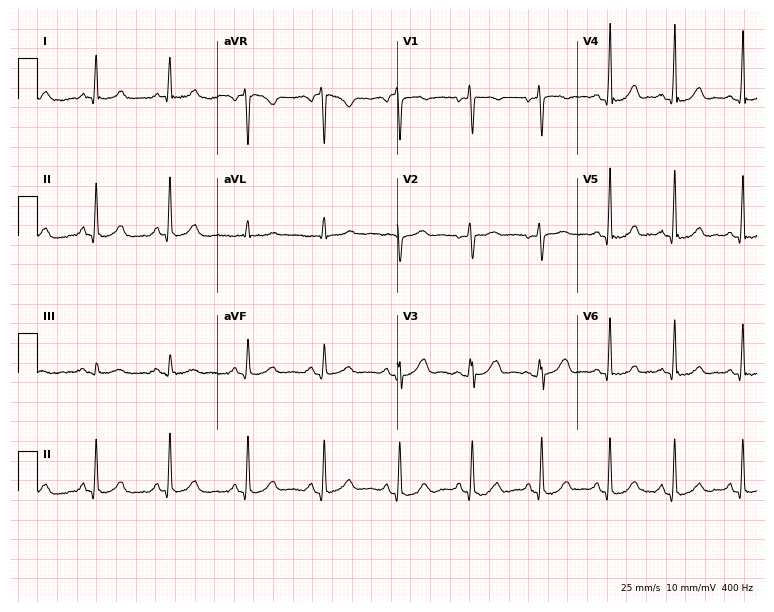
12-lead ECG from a 52-year-old female. Recorded interpretation: within normal limits.